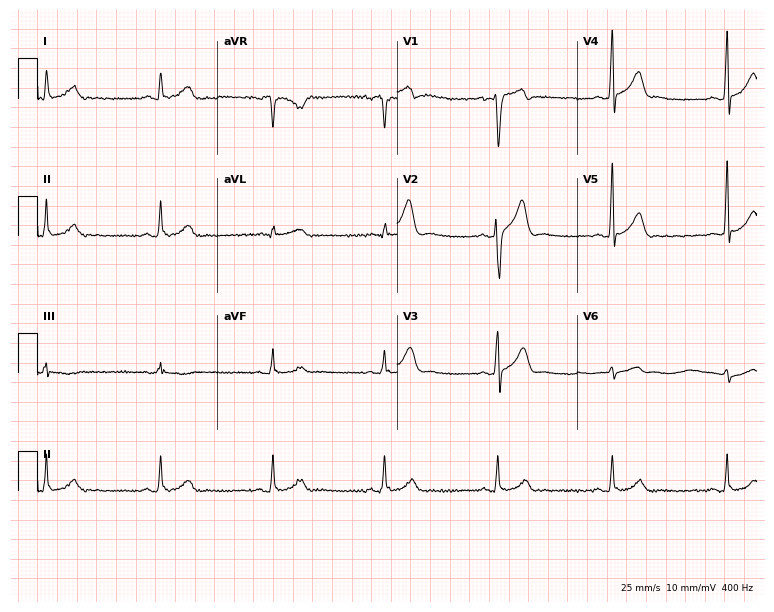
12-lead ECG from a 34-year-old male patient. No first-degree AV block, right bundle branch block, left bundle branch block, sinus bradycardia, atrial fibrillation or sinus tachycardia recorded for this tracing. Other findings, if any, are not listed.